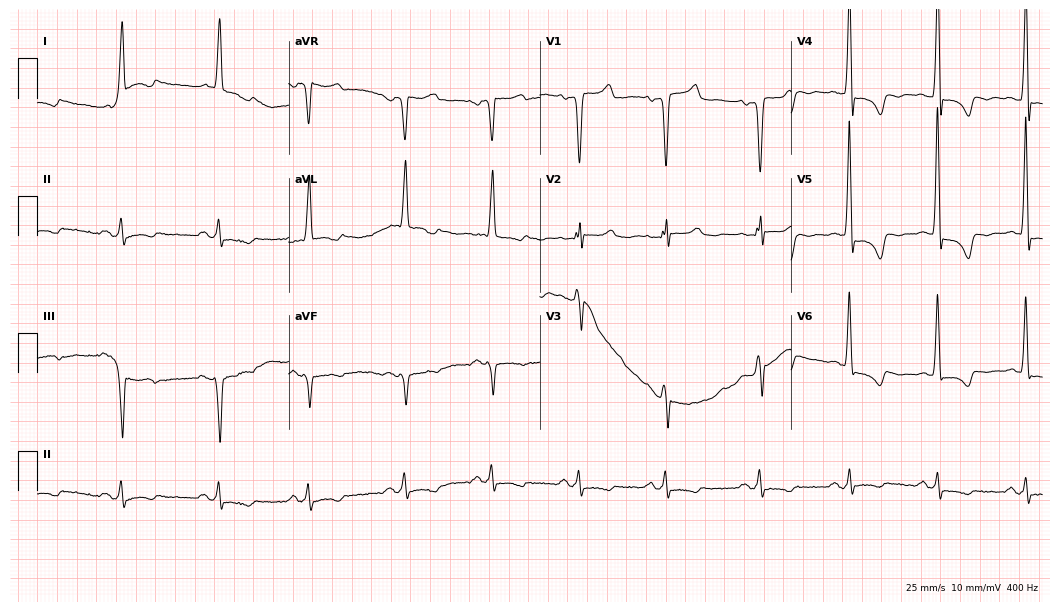
Electrocardiogram, a 56-year-old male patient. Of the six screened findings (first-degree AV block, right bundle branch block, left bundle branch block, sinus bradycardia, atrial fibrillation, sinus tachycardia), none is recorded. Only these six findings were labelled.